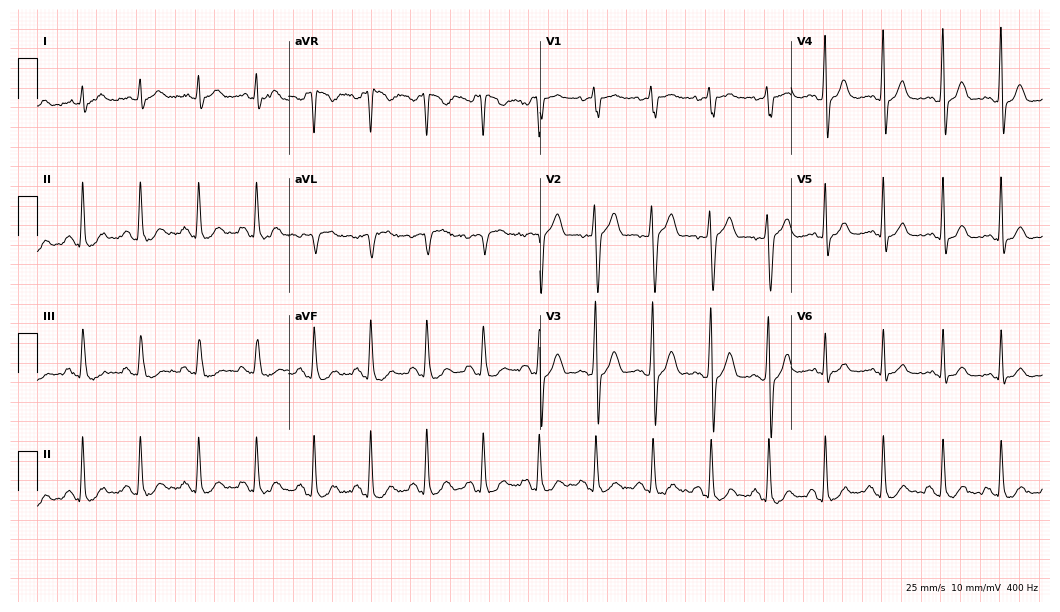
12-lead ECG from a male patient, 23 years old. Labelled as a normal ECG.